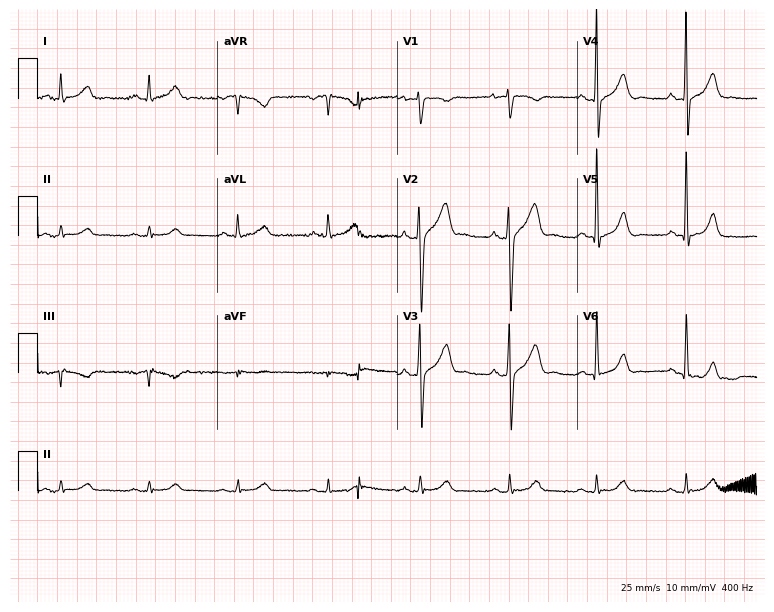
12-lead ECG from a 60-year-old male. No first-degree AV block, right bundle branch block (RBBB), left bundle branch block (LBBB), sinus bradycardia, atrial fibrillation (AF) or sinus tachycardia recorded for this tracing.